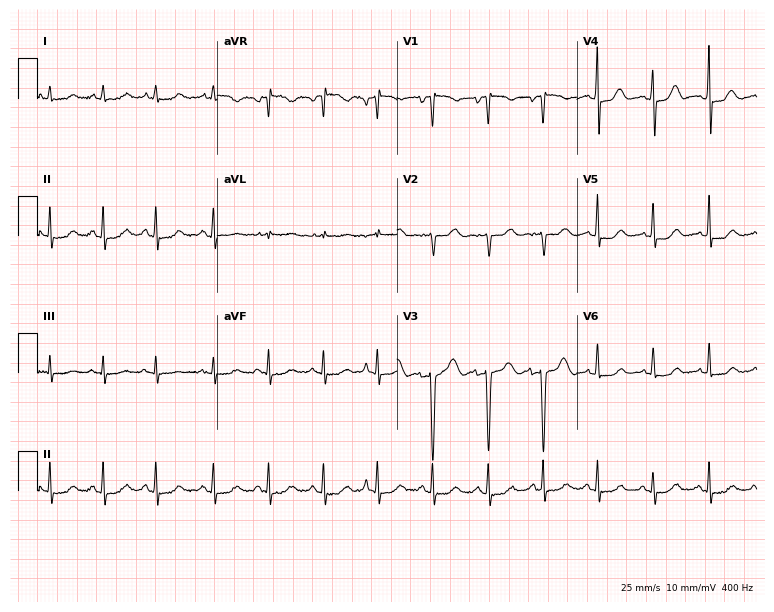
Standard 12-lead ECG recorded from a female, 84 years old (7.3-second recording at 400 Hz). The tracing shows sinus tachycardia (a sinus rate of 100 beats per minute or more).